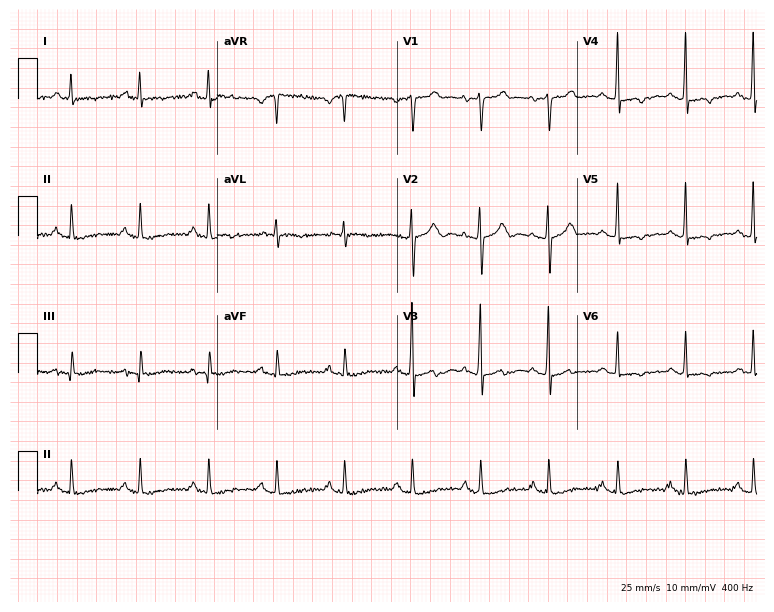
12-lead ECG from a female patient, 83 years old. No first-degree AV block, right bundle branch block (RBBB), left bundle branch block (LBBB), sinus bradycardia, atrial fibrillation (AF) or sinus tachycardia recorded for this tracing. Other findings, if any, are not listed.